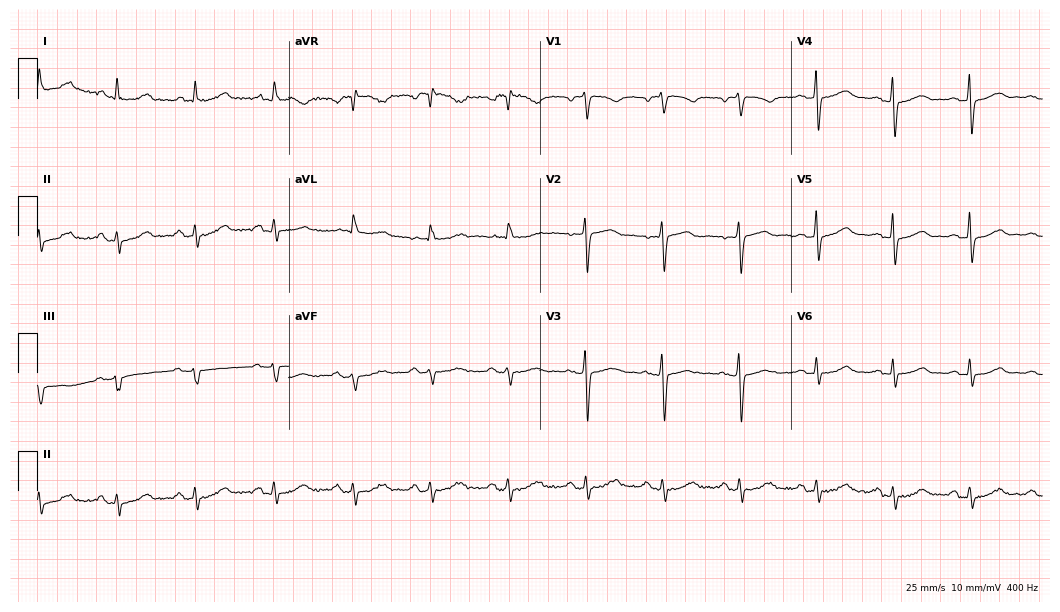
Standard 12-lead ECG recorded from a 70-year-old woman. Read as a normal ECG.